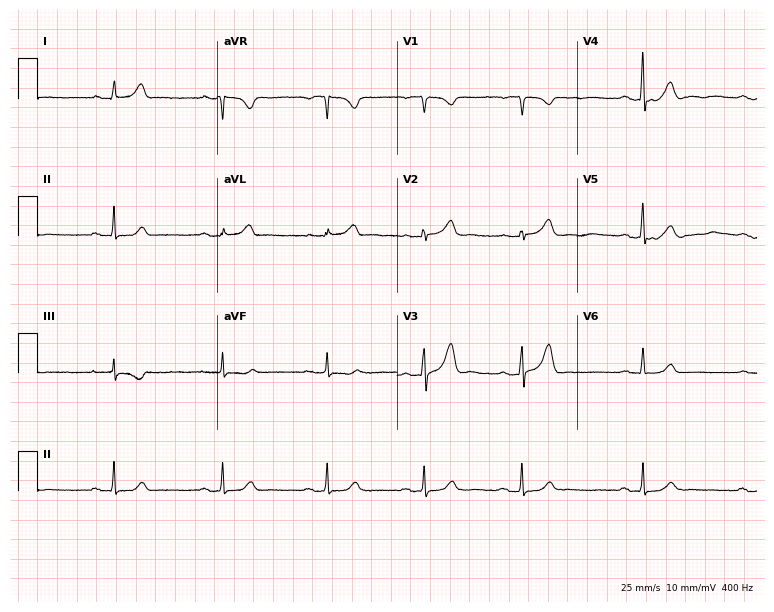
Electrocardiogram (7.3-second recording at 400 Hz), a female, 41 years old. Overall reading on record: normal ECG.